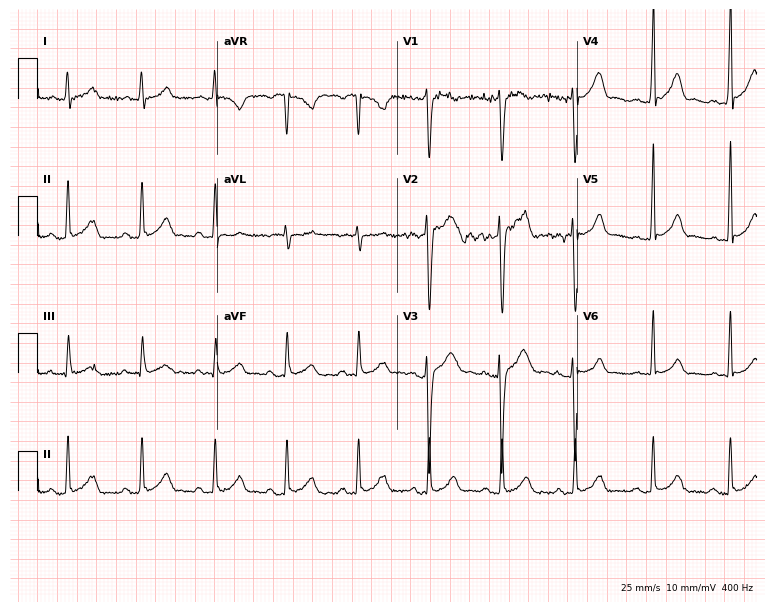
12-lead ECG from a man, 18 years old (7.3-second recording at 400 Hz). Recorded interpretation: within normal limits.